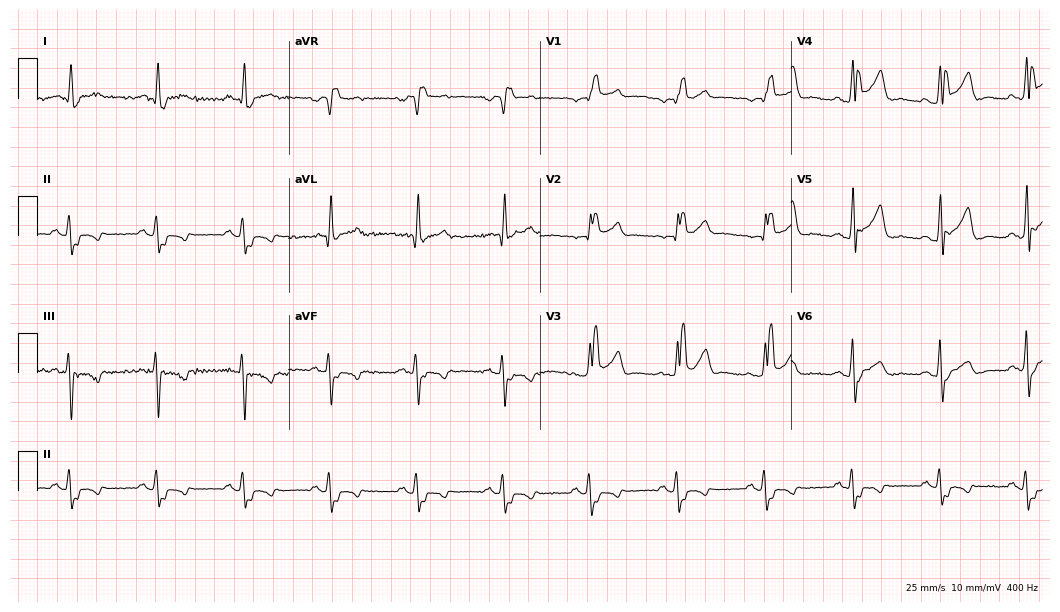
12-lead ECG from a male, 43 years old. Findings include right bundle branch block.